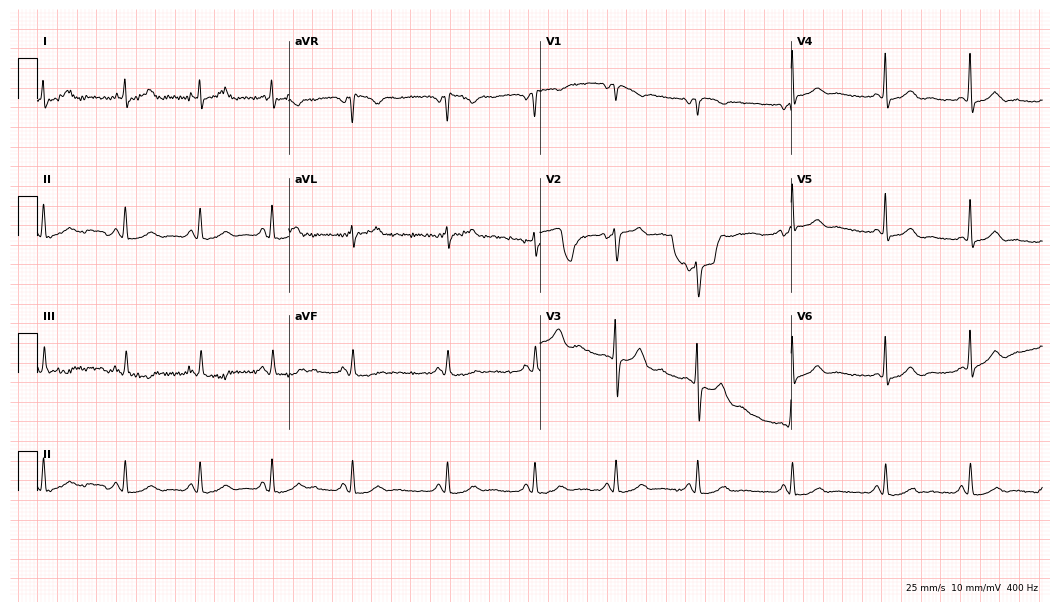
ECG (10.2-second recording at 400 Hz) — a 50-year-old woman. Labelled as a normal ECG.